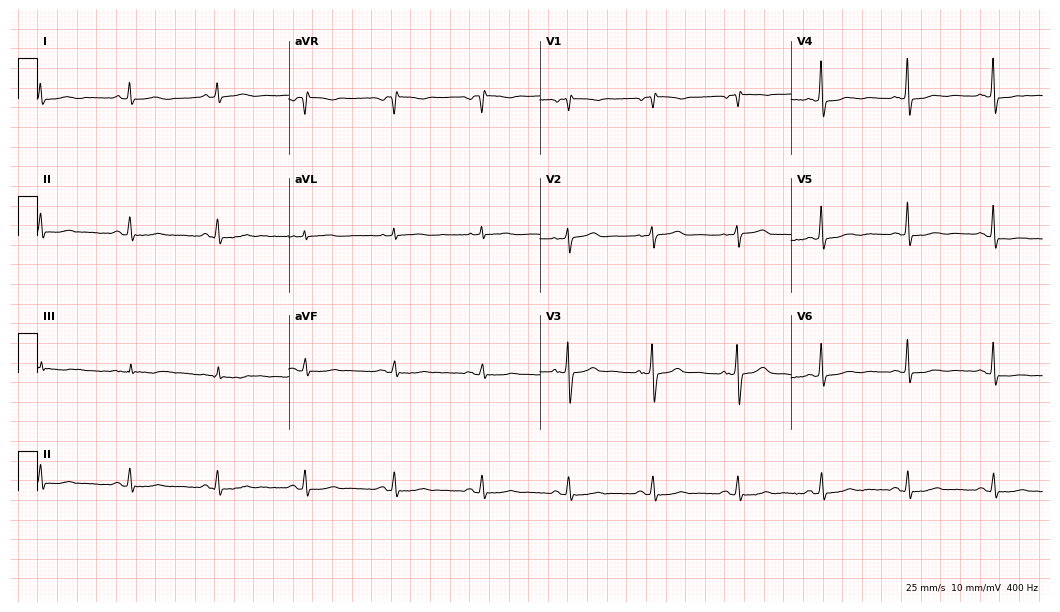
Standard 12-lead ECG recorded from a woman, 55 years old (10.2-second recording at 400 Hz). Read as a normal ECG.